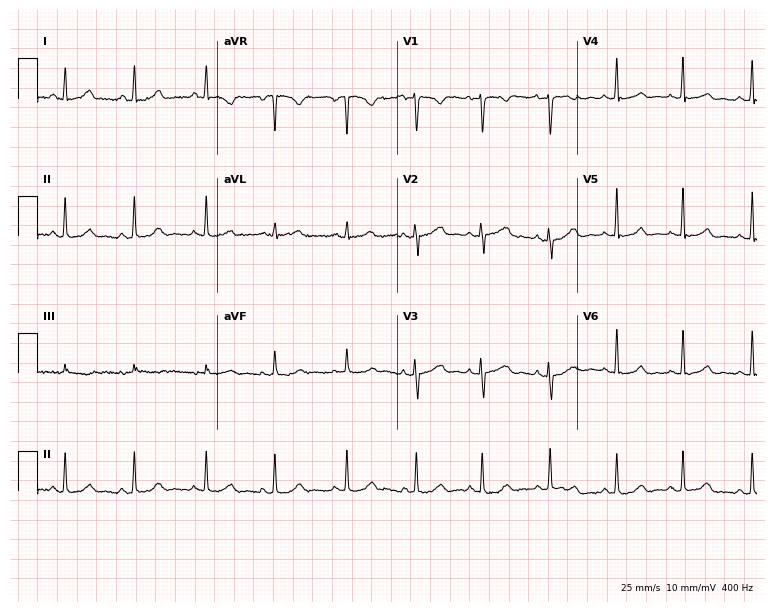
Electrocardiogram (7.3-second recording at 400 Hz), a 21-year-old female patient. Overall reading on record: normal ECG.